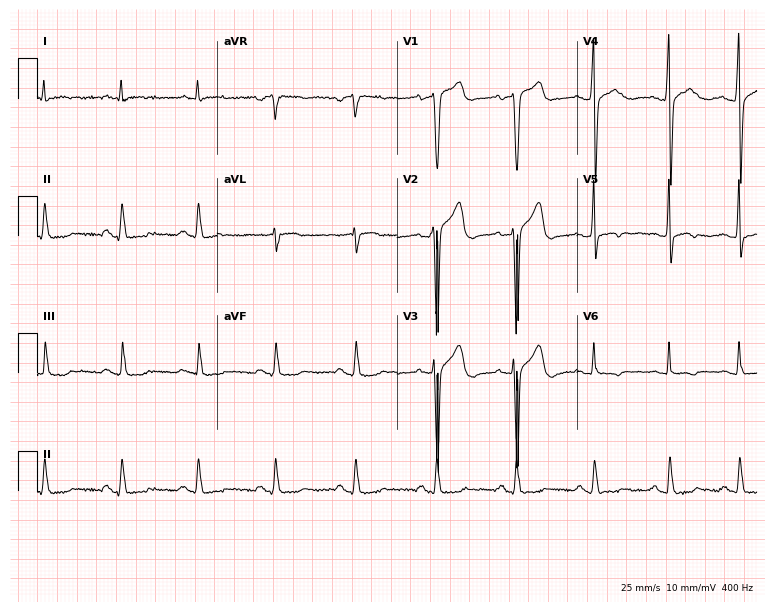
Standard 12-lead ECG recorded from a male patient, 64 years old. None of these six findings is recorded: first-degree AV block, right bundle branch block (RBBB), left bundle branch block (LBBB), sinus bradycardia, atrial fibrillation (AF), sinus tachycardia. Other findings, if any, are not listed.